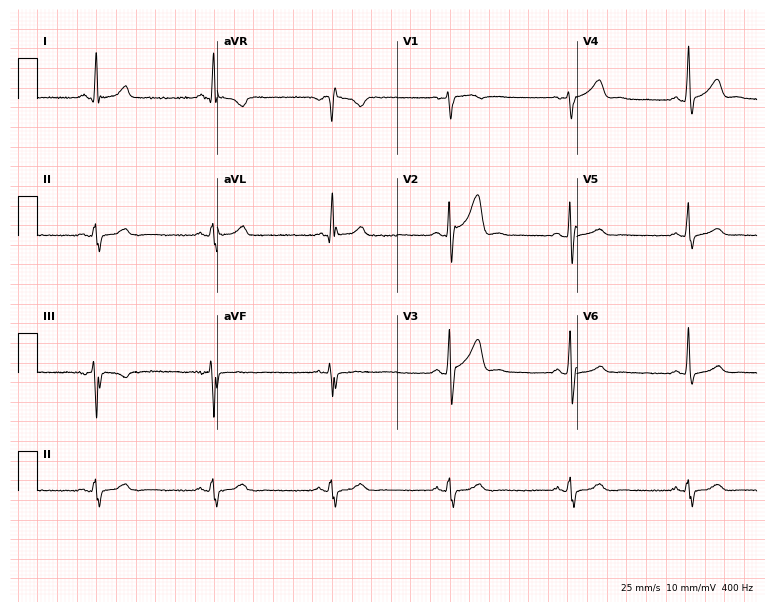
Standard 12-lead ECG recorded from a 37-year-old man. The tracing shows sinus bradycardia (a sinus rate of 50 beats per minute or less).